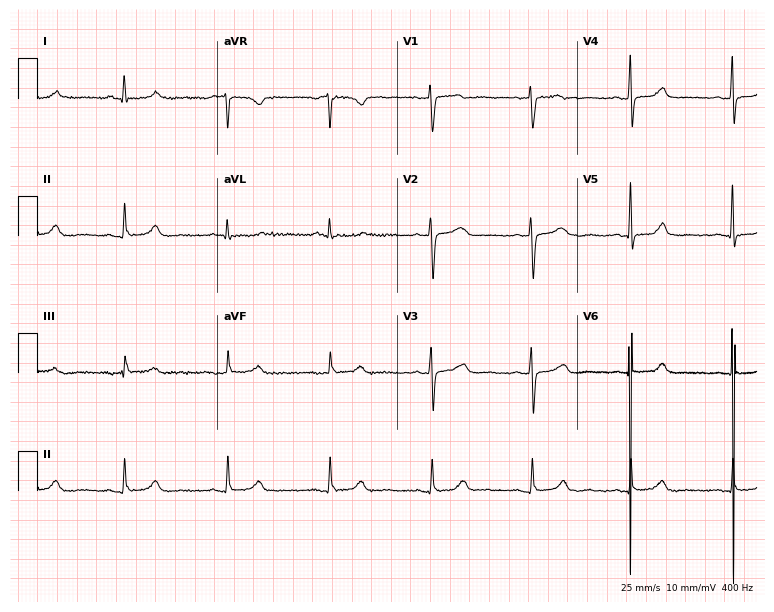
ECG — a female patient, 56 years old. Labelled as a normal ECG.